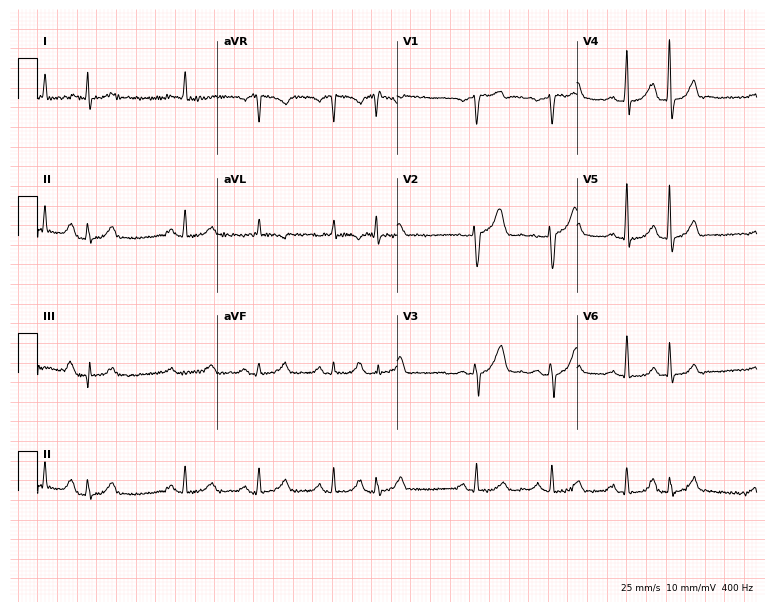
Electrocardiogram, a man, 72 years old. Overall reading on record: normal ECG.